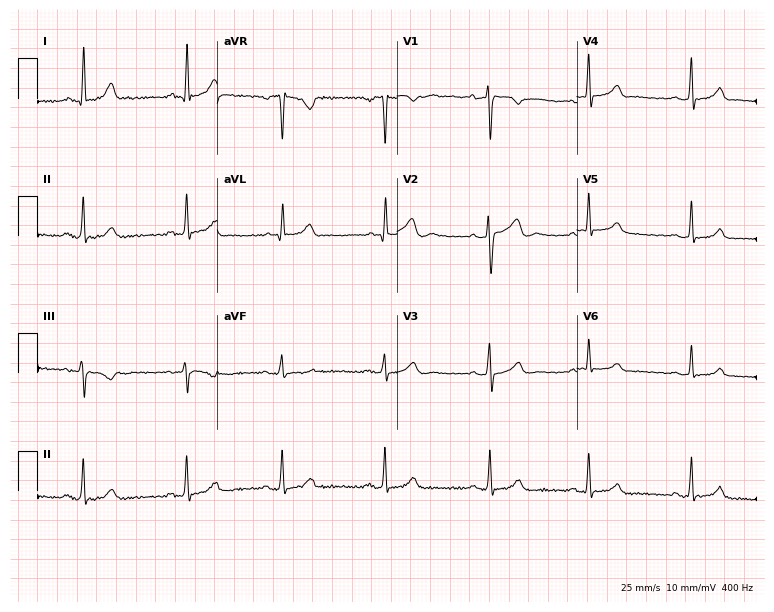
12-lead ECG from a 32-year-old woman. Screened for six findings — first-degree AV block, right bundle branch block, left bundle branch block, sinus bradycardia, atrial fibrillation, sinus tachycardia — none is recorded. Only these six findings were labelled.